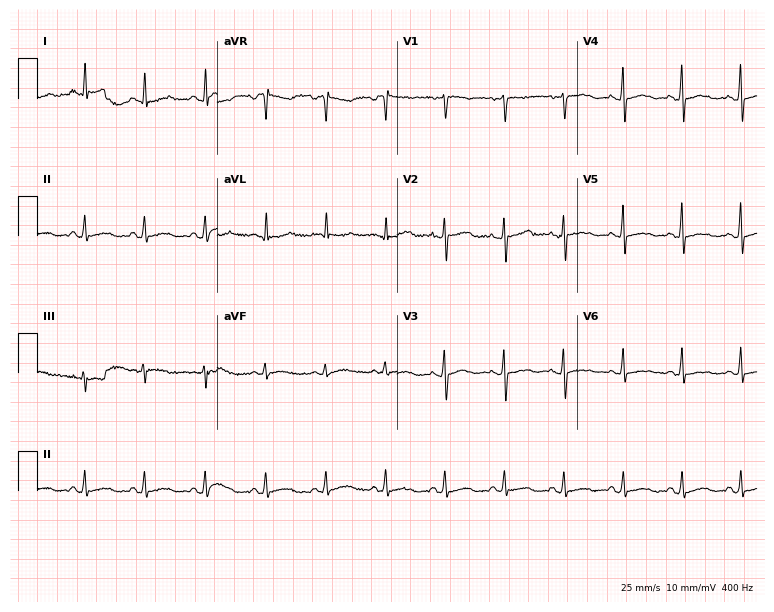
Standard 12-lead ECG recorded from a female patient, 41 years old. None of these six findings is recorded: first-degree AV block, right bundle branch block, left bundle branch block, sinus bradycardia, atrial fibrillation, sinus tachycardia. Other findings, if any, are not listed.